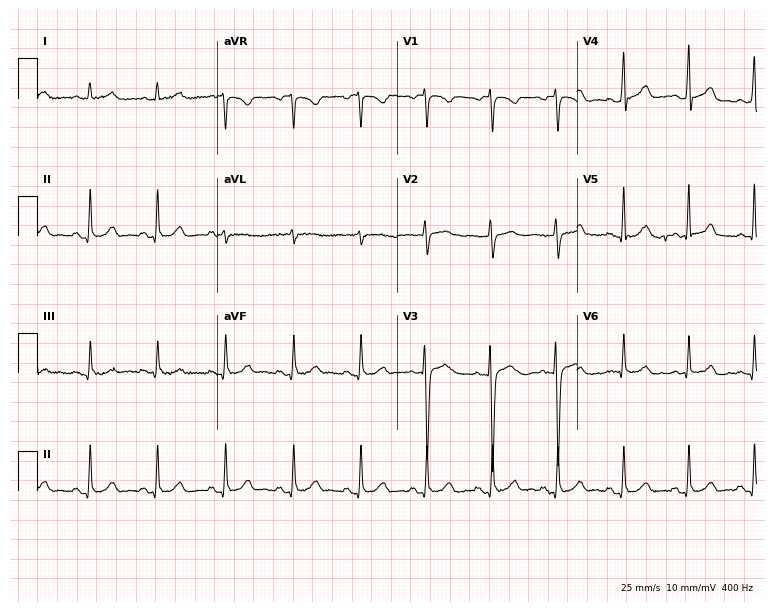
Resting 12-lead electrocardiogram (7.3-second recording at 400 Hz). Patient: a female, 31 years old. None of these six findings is recorded: first-degree AV block, right bundle branch block (RBBB), left bundle branch block (LBBB), sinus bradycardia, atrial fibrillation (AF), sinus tachycardia.